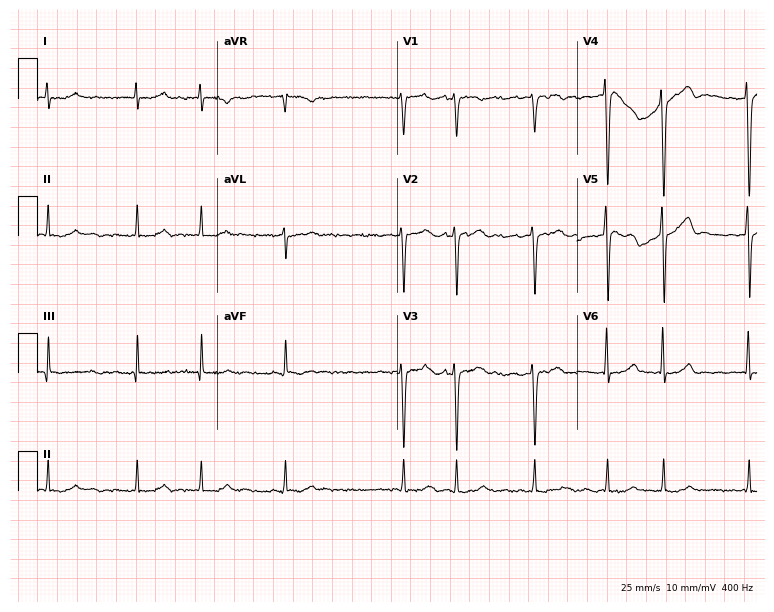
Electrocardiogram (7.3-second recording at 400 Hz), a 73-year-old male. Interpretation includes atrial fibrillation.